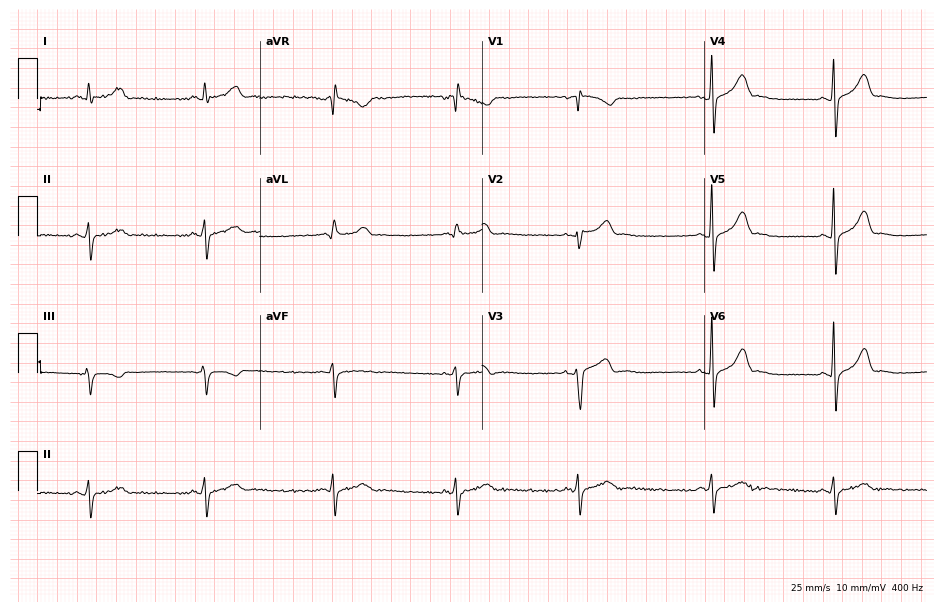
12-lead ECG (9.1-second recording at 400 Hz) from a man, 29 years old. Labelled as a normal ECG.